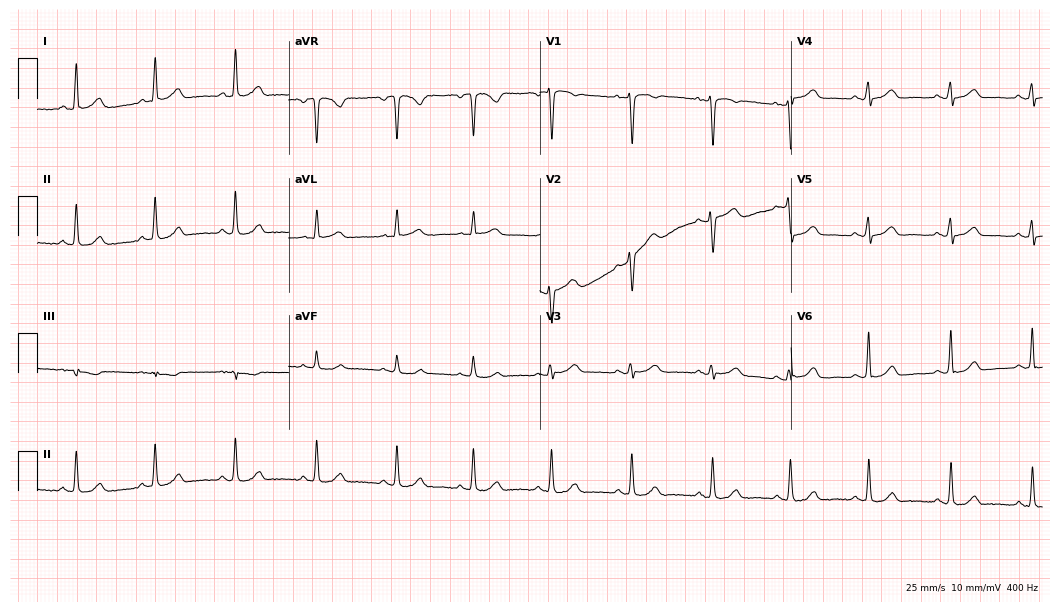
Electrocardiogram, a 51-year-old female. Overall reading on record: normal ECG.